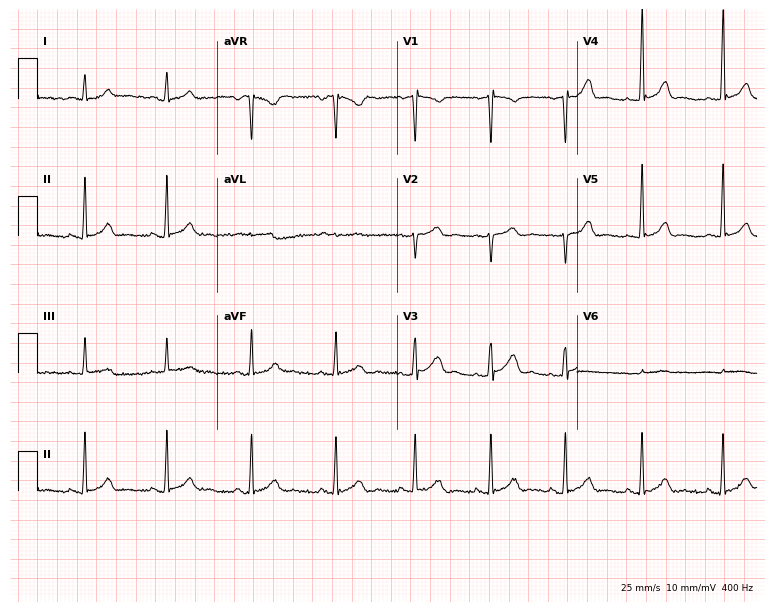
Electrocardiogram, a woman, 18 years old. Overall reading on record: normal ECG.